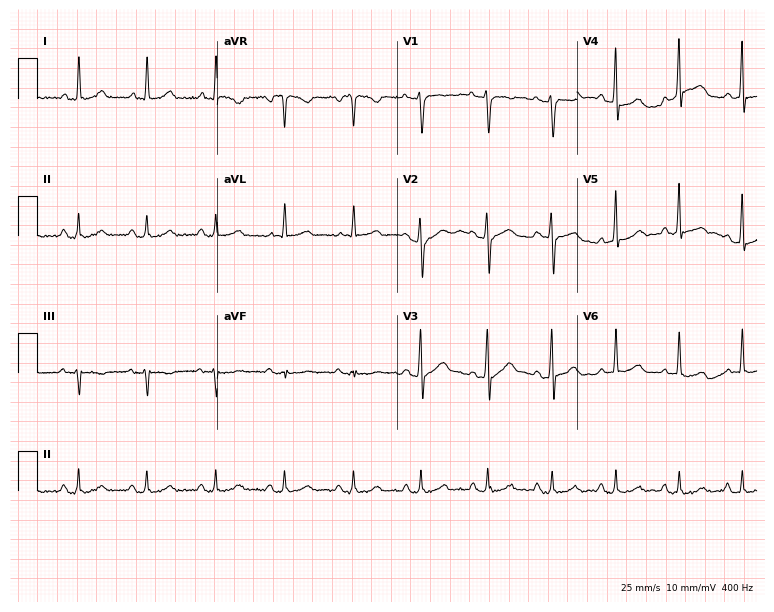
Electrocardiogram, a 57-year-old man. Of the six screened findings (first-degree AV block, right bundle branch block (RBBB), left bundle branch block (LBBB), sinus bradycardia, atrial fibrillation (AF), sinus tachycardia), none is recorded.